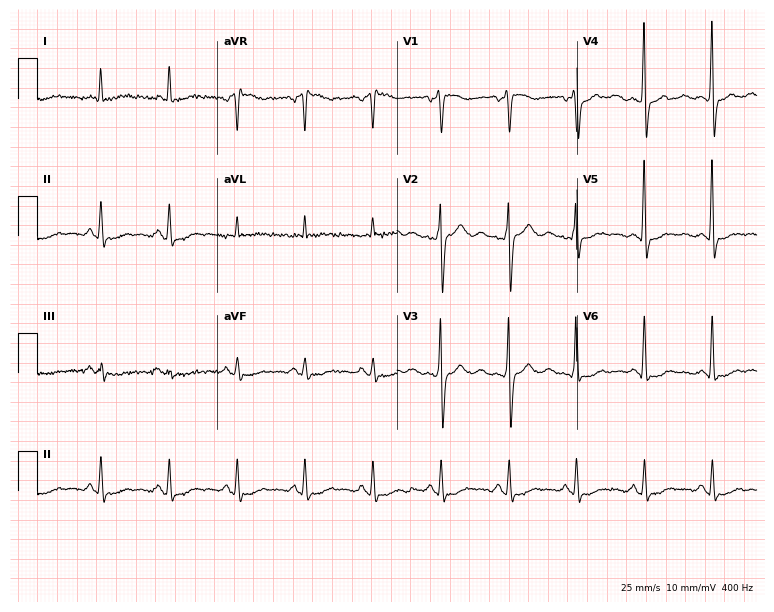
ECG (7.3-second recording at 400 Hz) — a 45-year-old man. Screened for six findings — first-degree AV block, right bundle branch block, left bundle branch block, sinus bradycardia, atrial fibrillation, sinus tachycardia — none is recorded.